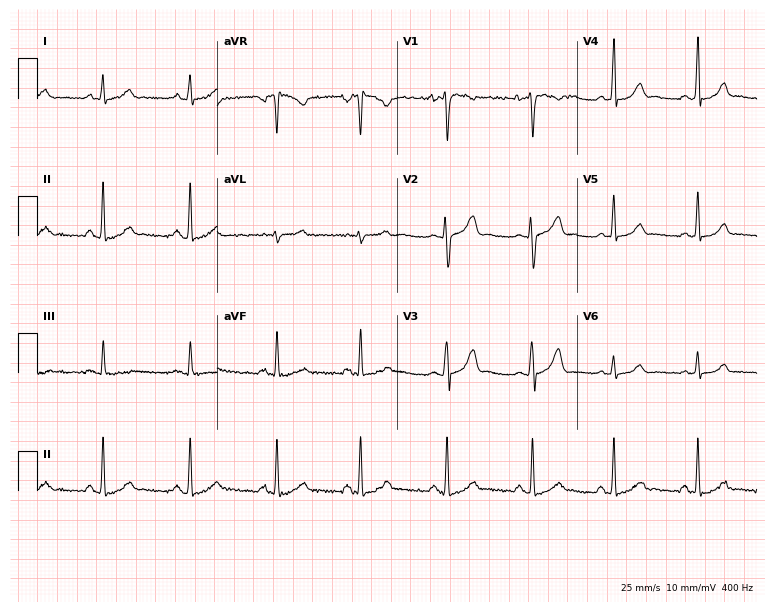
Resting 12-lead electrocardiogram. Patient: a 23-year-old woman. Read as a normal ECG.